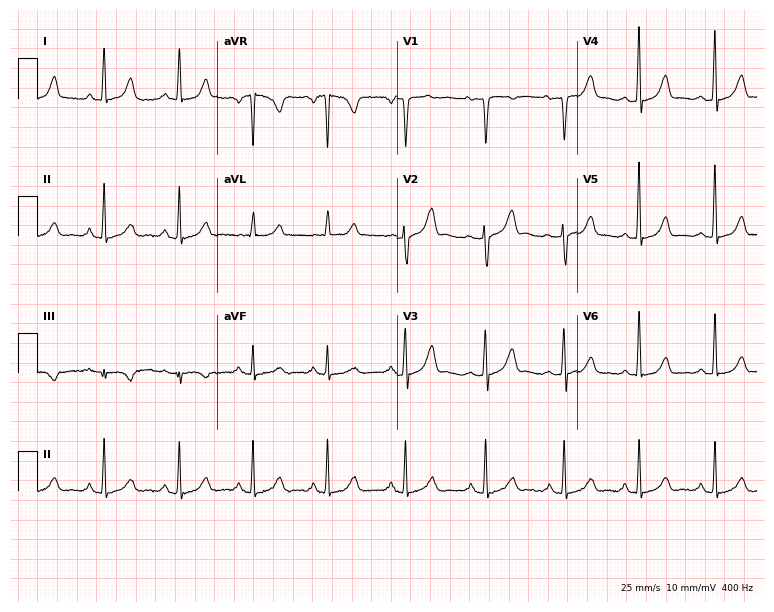
ECG — a female, 35 years old. Labelled as a normal ECG.